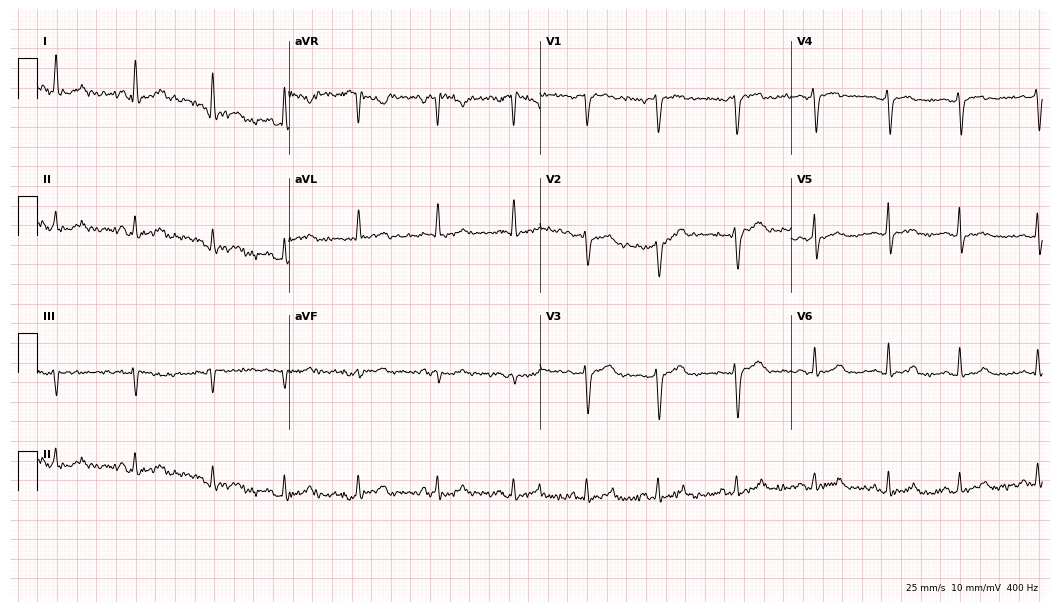
12-lead ECG from a female patient, 49 years old. Screened for six findings — first-degree AV block, right bundle branch block (RBBB), left bundle branch block (LBBB), sinus bradycardia, atrial fibrillation (AF), sinus tachycardia — none is recorded.